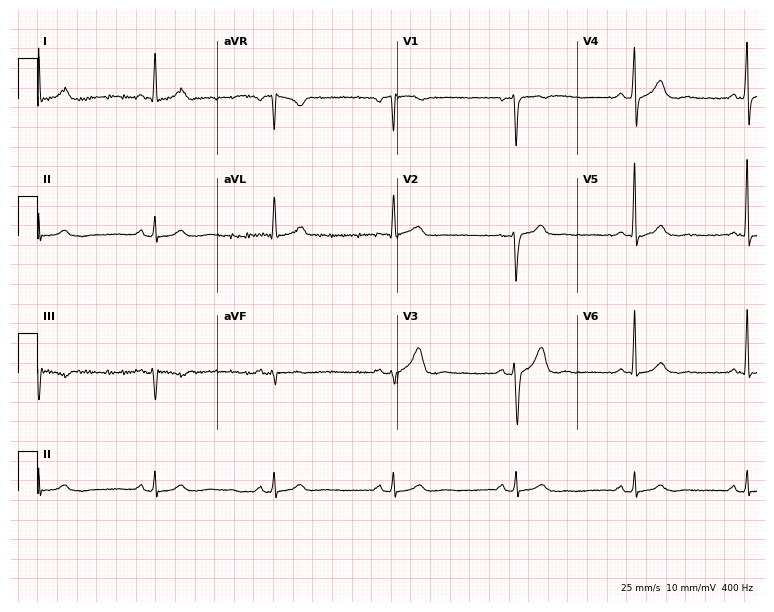
Resting 12-lead electrocardiogram. Patient: a male, 67 years old. The tracing shows sinus bradycardia (a sinus rate of 50 beats per minute or less).